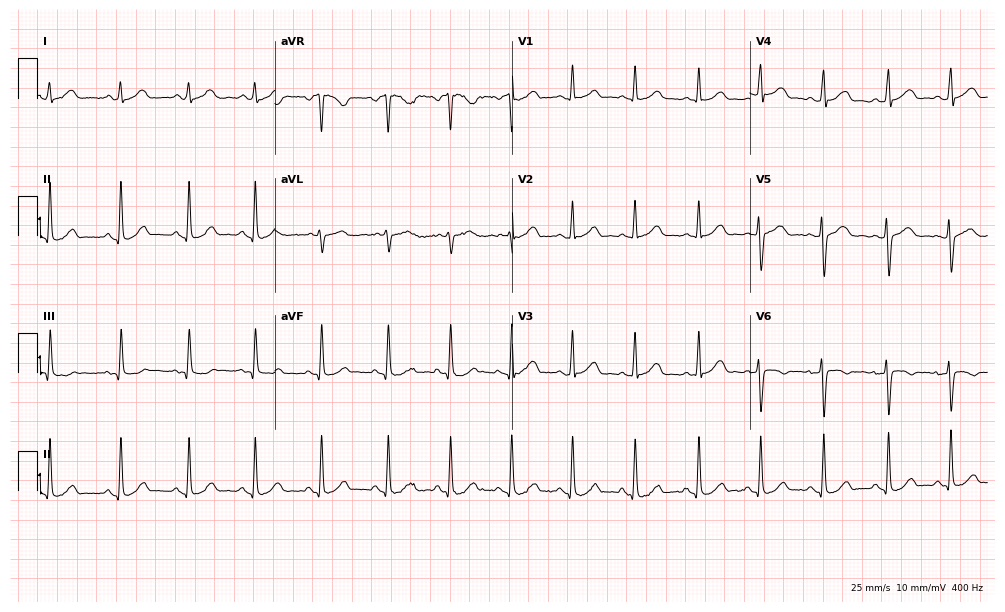
Standard 12-lead ECG recorded from a female patient, 25 years old. None of these six findings is recorded: first-degree AV block, right bundle branch block, left bundle branch block, sinus bradycardia, atrial fibrillation, sinus tachycardia.